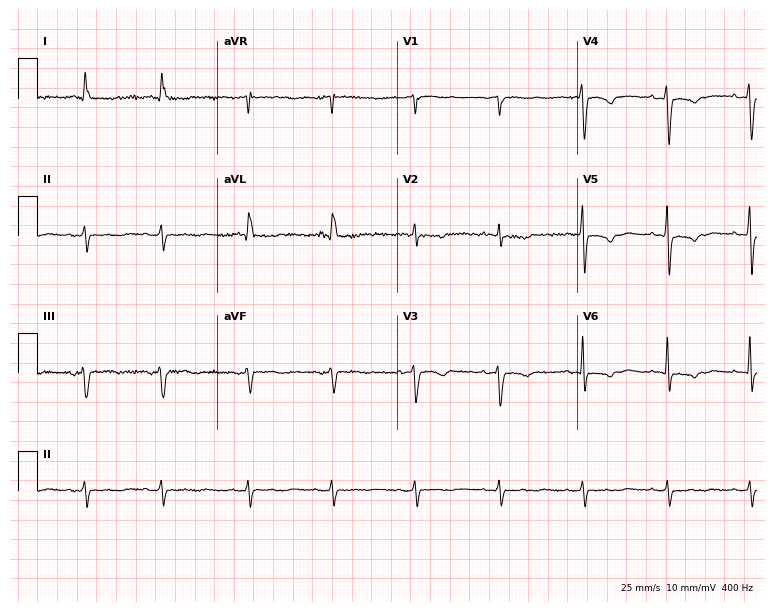
ECG (7.3-second recording at 400 Hz) — an 85-year-old man. Screened for six findings — first-degree AV block, right bundle branch block (RBBB), left bundle branch block (LBBB), sinus bradycardia, atrial fibrillation (AF), sinus tachycardia — none is recorded.